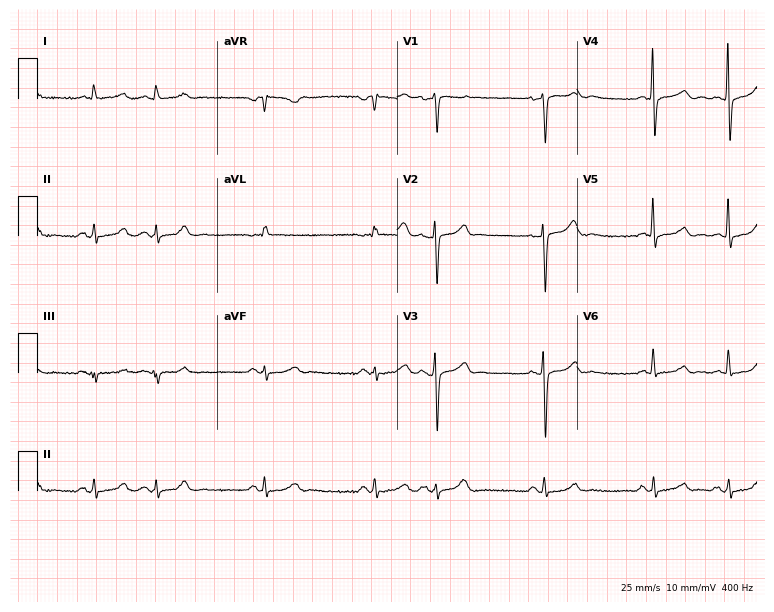
Electrocardiogram, a male, 69 years old. Of the six screened findings (first-degree AV block, right bundle branch block, left bundle branch block, sinus bradycardia, atrial fibrillation, sinus tachycardia), none is recorded.